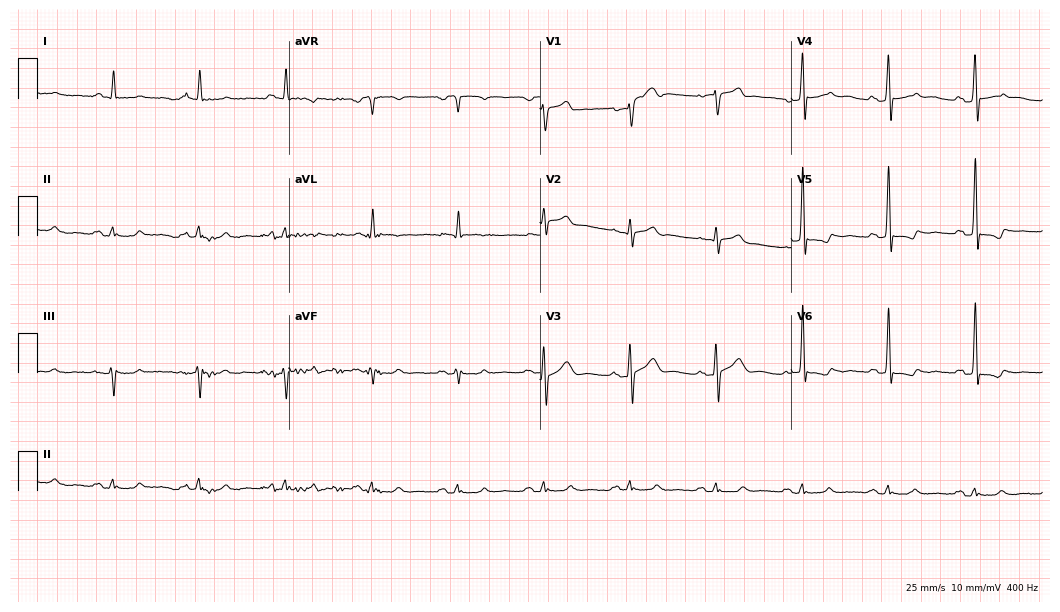
Electrocardiogram, a male, 56 years old. Of the six screened findings (first-degree AV block, right bundle branch block (RBBB), left bundle branch block (LBBB), sinus bradycardia, atrial fibrillation (AF), sinus tachycardia), none is recorded.